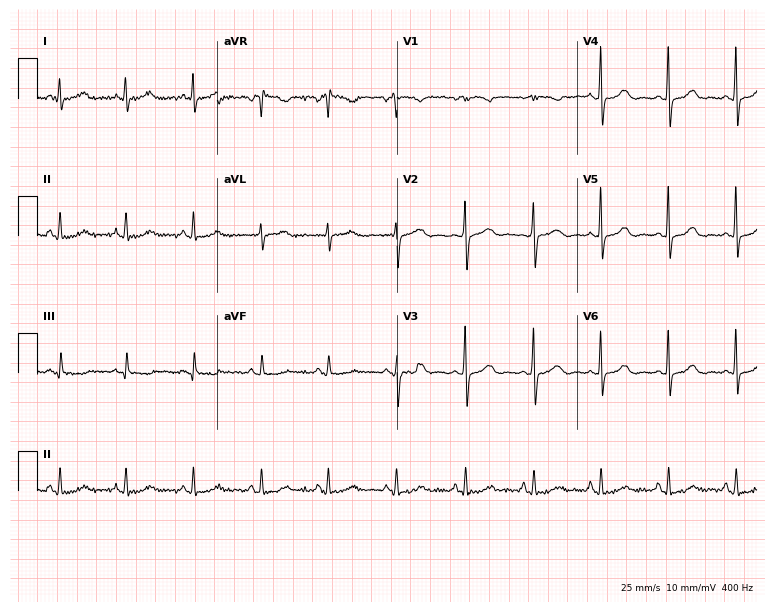
Standard 12-lead ECG recorded from a female, 62 years old (7.3-second recording at 400 Hz). None of these six findings is recorded: first-degree AV block, right bundle branch block (RBBB), left bundle branch block (LBBB), sinus bradycardia, atrial fibrillation (AF), sinus tachycardia. Only these six findings were labelled.